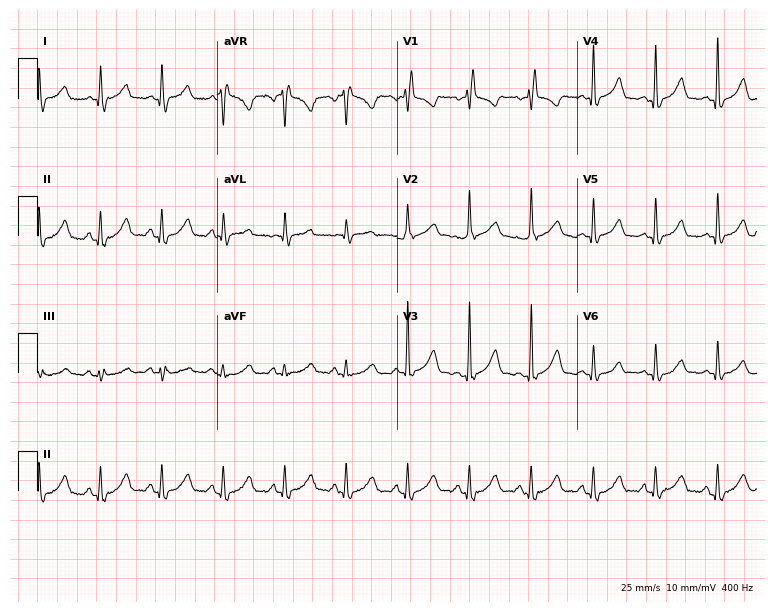
ECG (7.3-second recording at 400 Hz) — a woman, 72 years old. Screened for six findings — first-degree AV block, right bundle branch block (RBBB), left bundle branch block (LBBB), sinus bradycardia, atrial fibrillation (AF), sinus tachycardia — none is recorded.